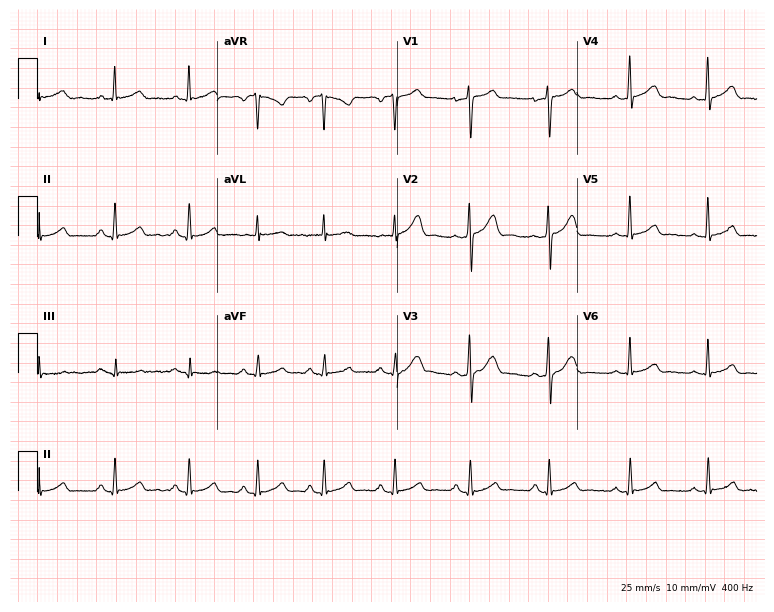
12-lead ECG (7.3-second recording at 400 Hz) from a 39-year-old male. Labelled as a normal ECG.